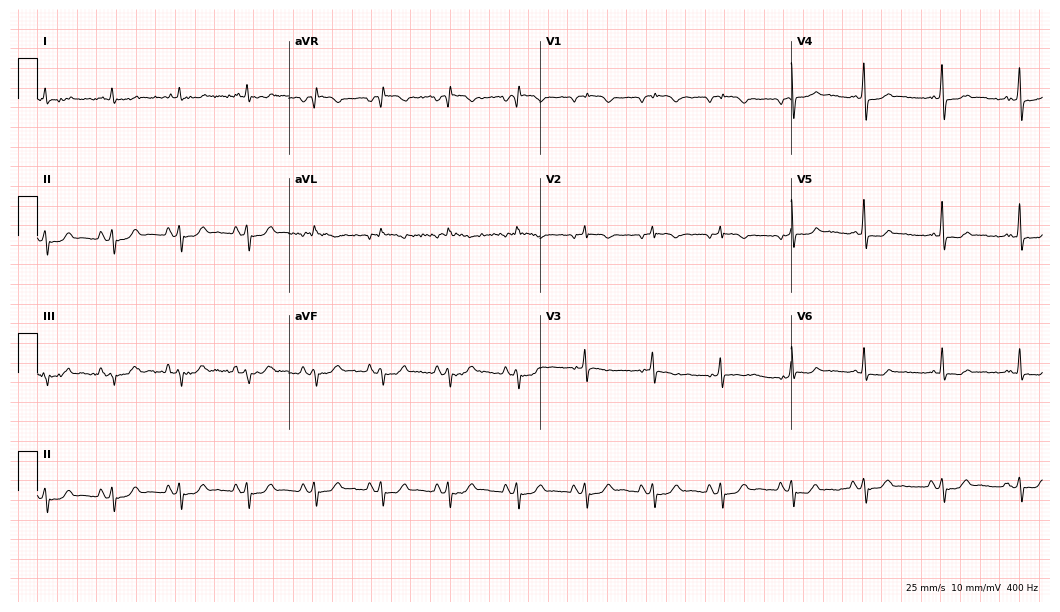
12-lead ECG (10.2-second recording at 400 Hz) from a 79-year-old male. Screened for six findings — first-degree AV block, right bundle branch block, left bundle branch block, sinus bradycardia, atrial fibrillation, sinus tachycardia — none is recorded. Only these six findings were labelled.